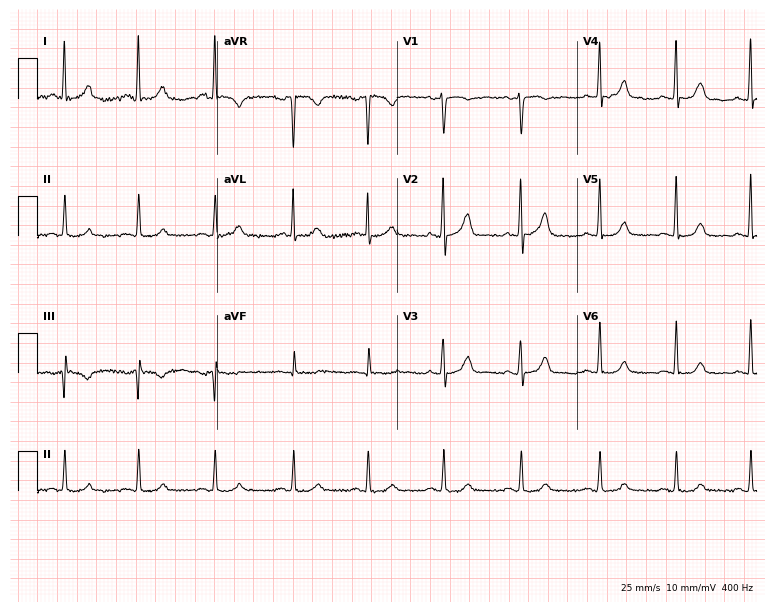
ECG (7.3-second recording at 400 Hz) — a 40-year-old female patient. Labelled as a normal ECG.